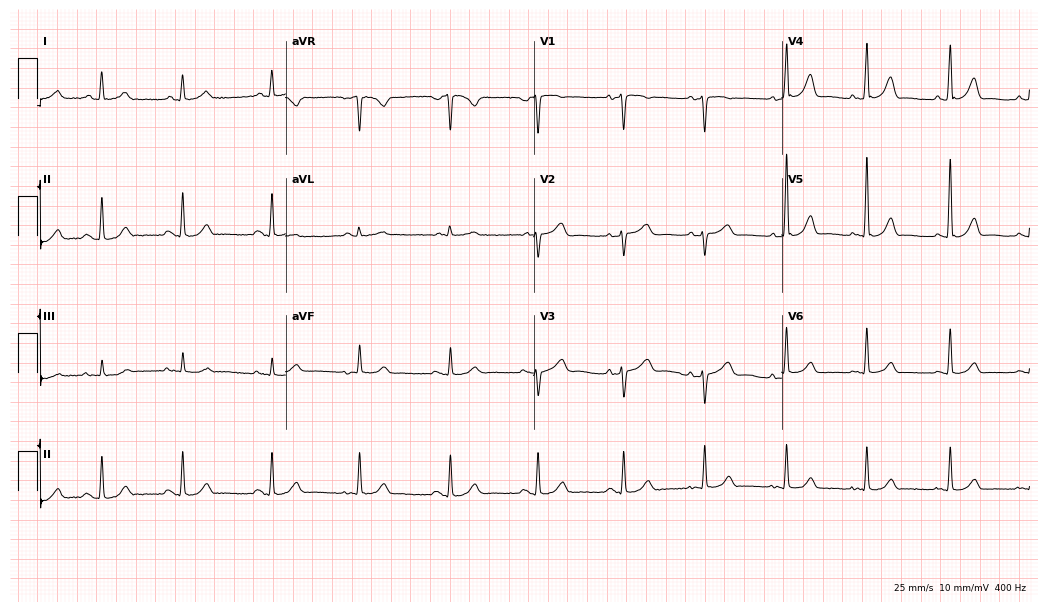
ECG (10.1-second recording at 400 Hz) — a 65-year-old woman. Labelled as a normal ECG.